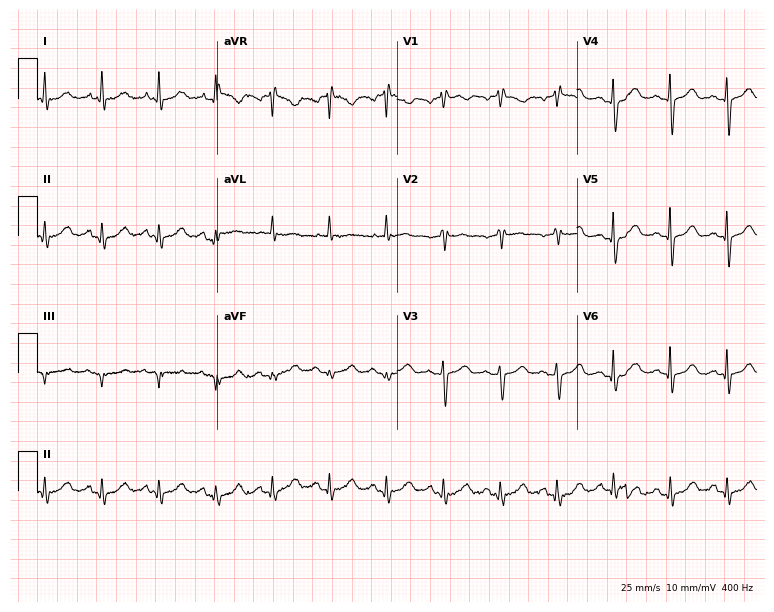
ECG — a 79-year-old female. Findings include sinus tachycardia (a sinus rate of 100 beats per minute or more).